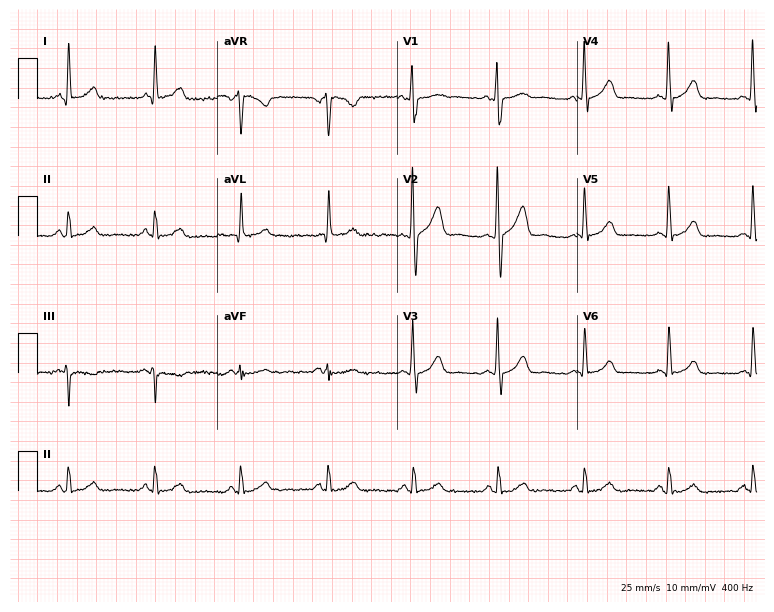
Standard 12-lead ECG recorded from a 40-year-old male (7.3-second recording at 400 Hz). Read as a normal ECG.